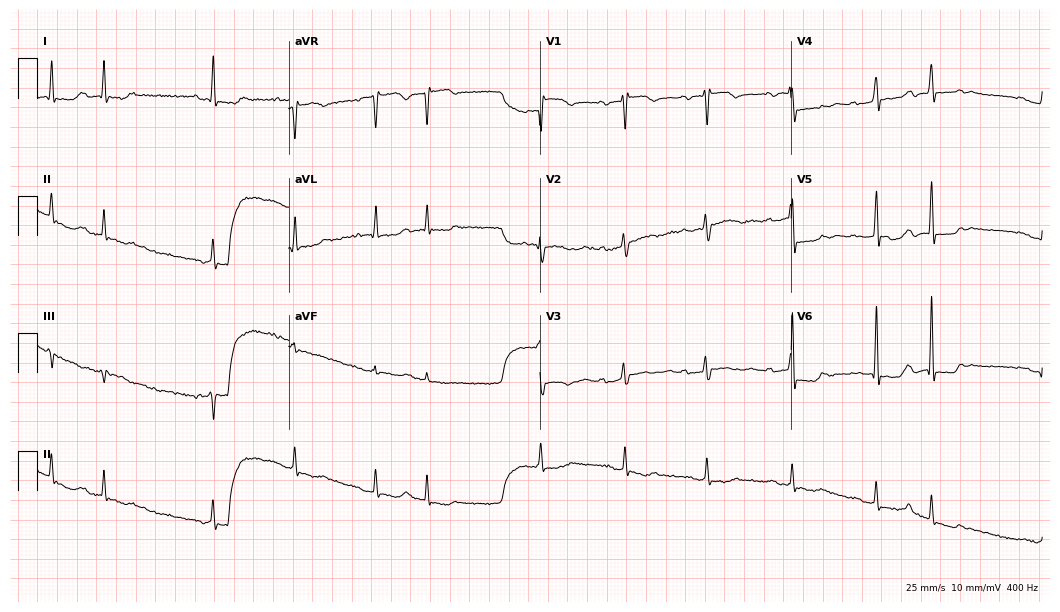
12-lead ECG (10.2-second recording at 400 Hz) from an 85-year-old male patient. Screened for six findings — first-degree AV block, right bundle branch block (RBBB), left bundle branch block (LBBB), sinus bradycardia, atrial fibrillation (AF), sinus tachycardia — none is recorded.